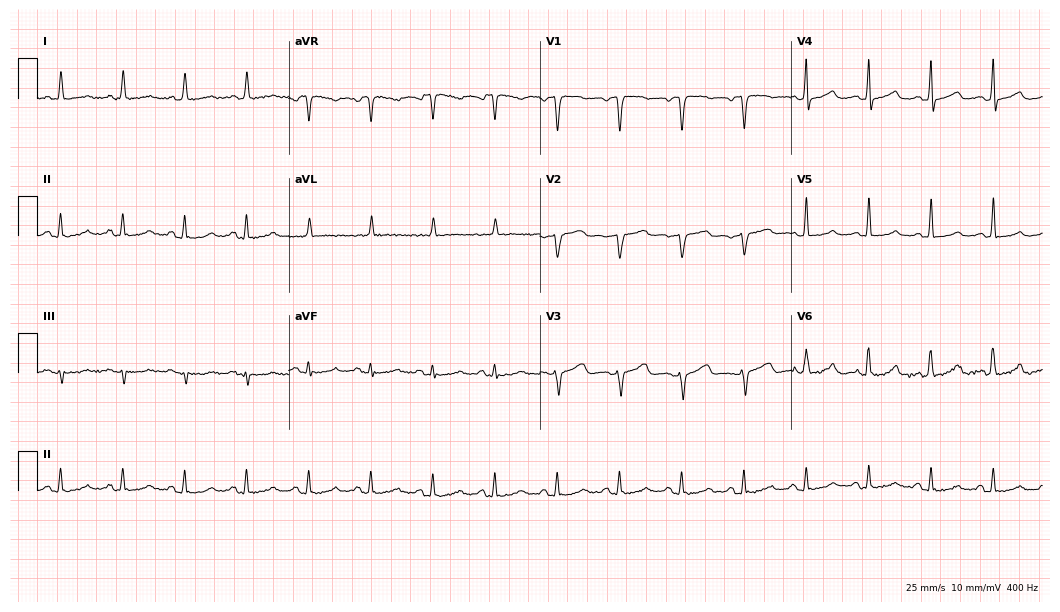
ECG — a female patient, 74 years old. Labelled as a normal ECG.